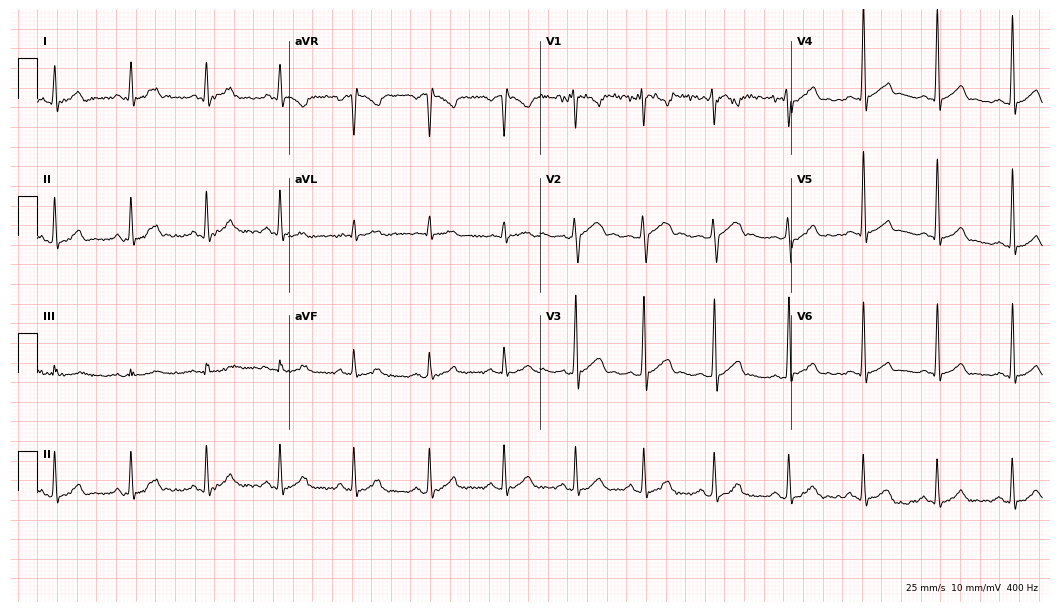
Resting 12-lead electrocardiogram (10.2-second recording at 400 Hz). Patient: a man, 21 years old. Read as a normal ECG.